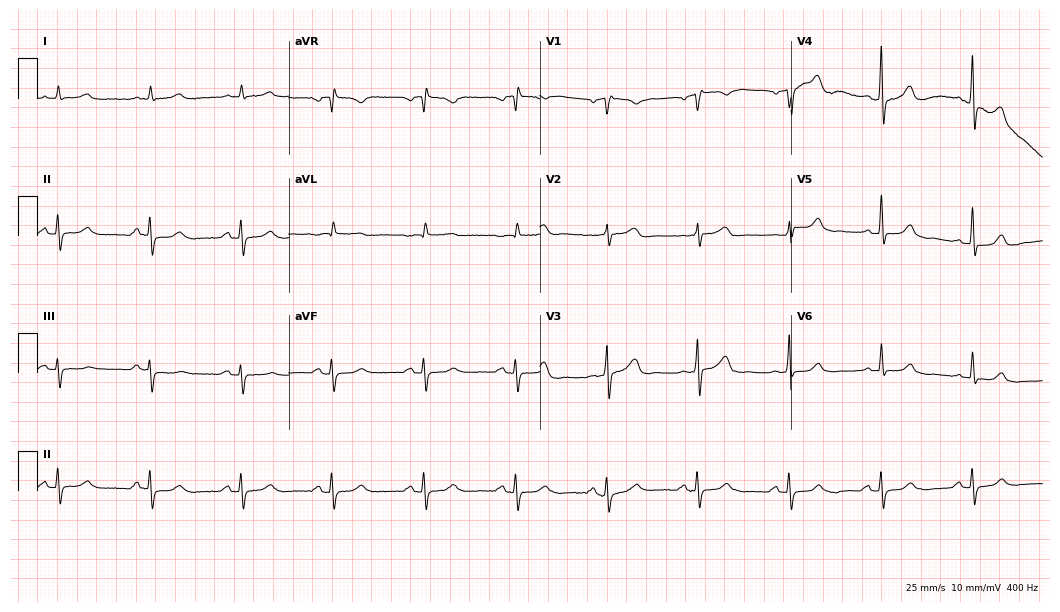
Standard 12-lead ECG recorded from an 81-year-old male patient (10.2-second recording at 400 Hz). Read as a normal ECG.